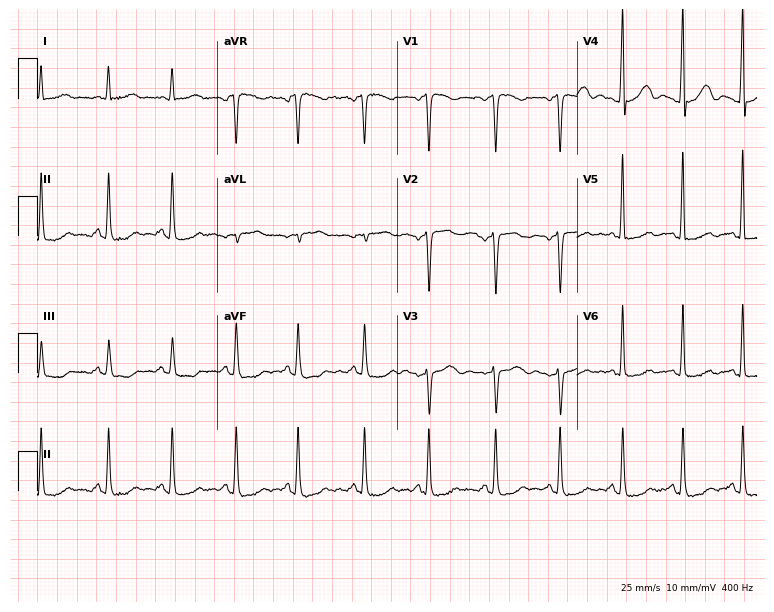
ECG — a 28-year-old female. Screened for six findings — first-degree AV block, right bundle branch block, left bundle branch block, sinus bradycardia, atrial fibrillation, sinus tachycardia — none is recorded. Only these six findings were labelled.